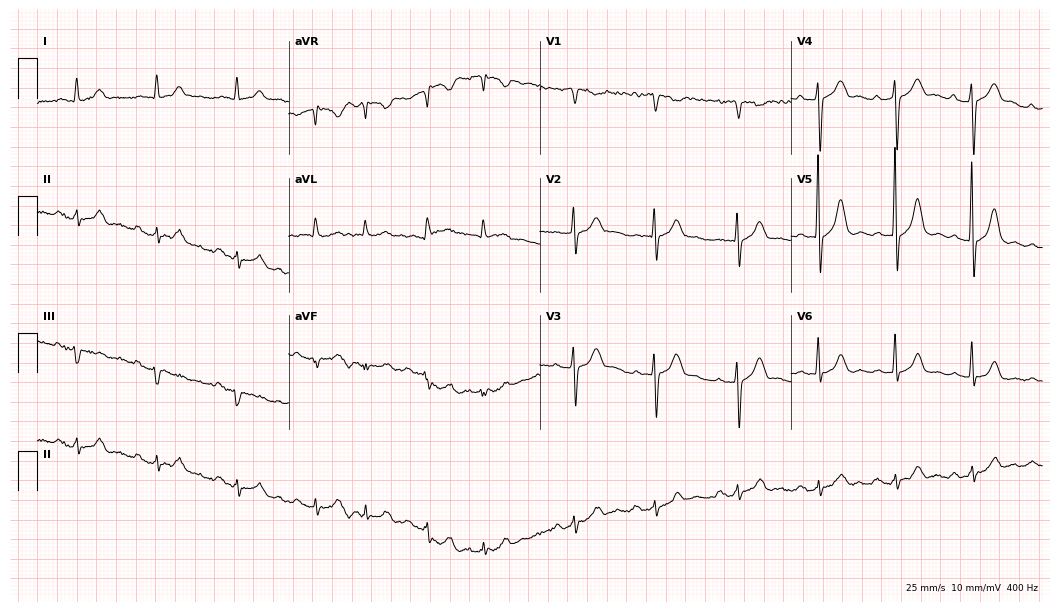
Resting 12-lead electrocardiogram. Patient: a female, 74 years old. None of these six findings is recorded: first-degree AV block, right bundle branch block, left bundle branch block, sinus bradycardia, atrial fibrillation, sinus tachycardia.